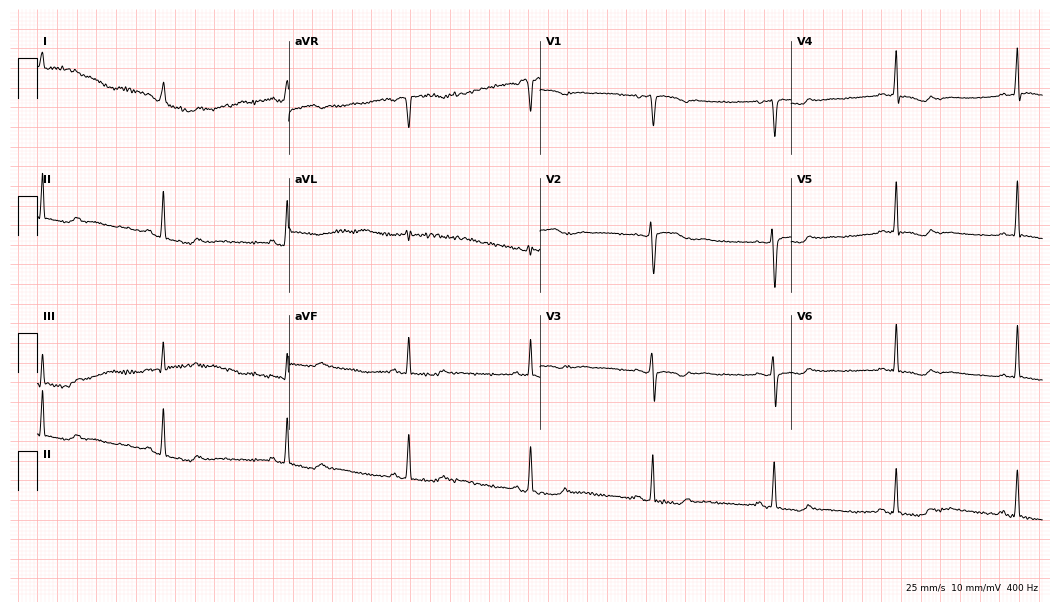
Standard 12-lead ECG recorded from a 39-year-old female (10.2-second recording at 400 Hz). The tracing shows sinus bradycardia (a sinus rate of 50 beats per minute or less).